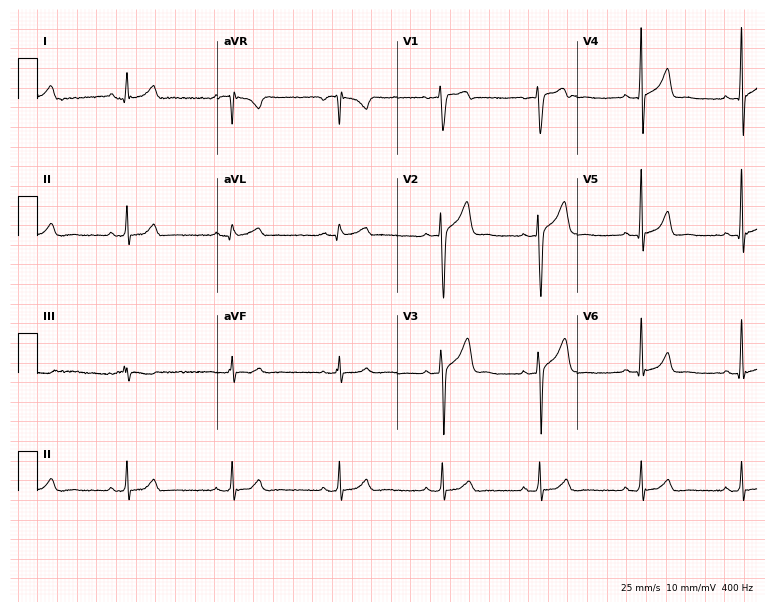
Resting 12-lead electrocardiogram. Patient: a 42-year-old male. None of these six findings is recorded: first-degree AV block, right bundle branch block, left bundle branch block, sinus bradycardia, atrial fibrillation, sinus tachycardia. Other findings, if any, are not listed.